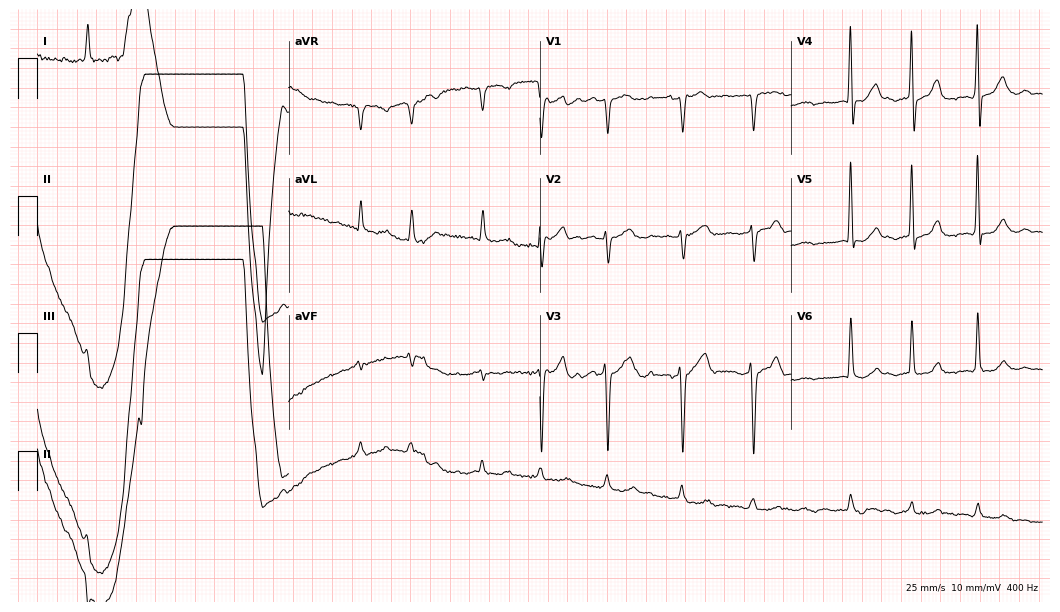
Resting 12-lead electrocardiogram (10.2-second recording at 400 Hz). Patient: a man, 81 years old. The tracing shows atrial fibrillation (AF).